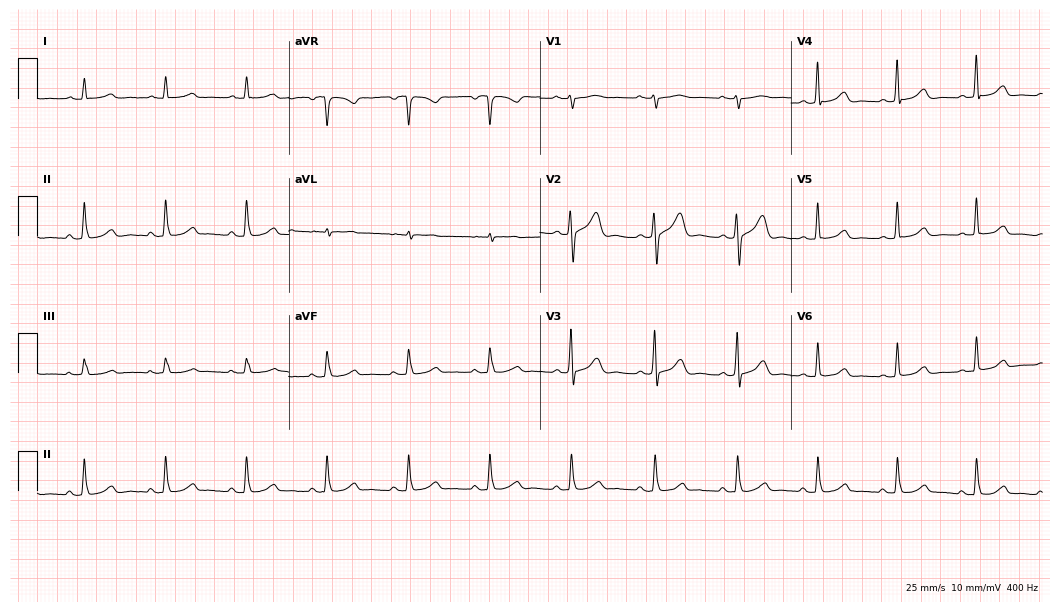
Electrocardiogram, a woman, 48 years old. Of the six screened findings (first-degree AV block, right bundle branch block, left bundle branch block, sinus bradycardia, atrial fibrillation, sinus tachycardia), none is recorded.